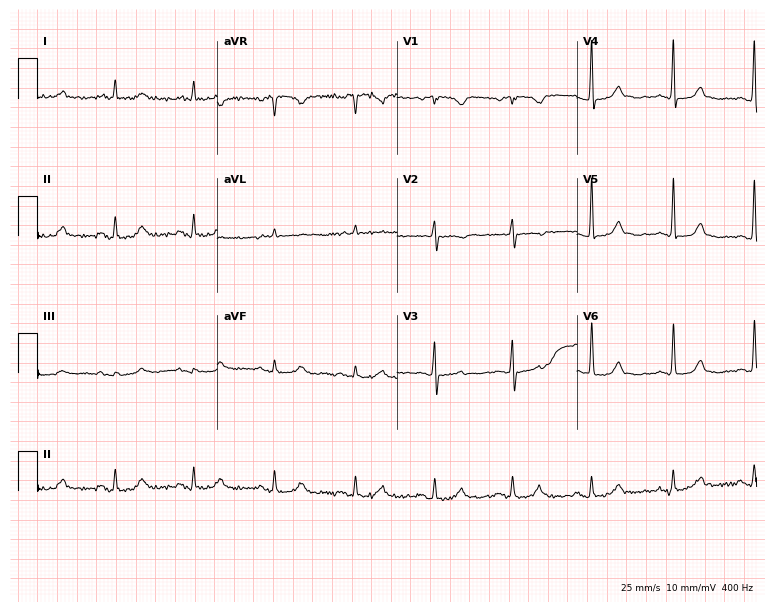
ECG (7.3-second recording at 400 Hz) — a female patient, 77 years old. Screened for six findings — first-degree AV block, right bundle branch block, left bundle branch block, sinus bradycardia, atrial fibrillation, sinus tachycardia — none is recorded. Only these six findings were labelled.